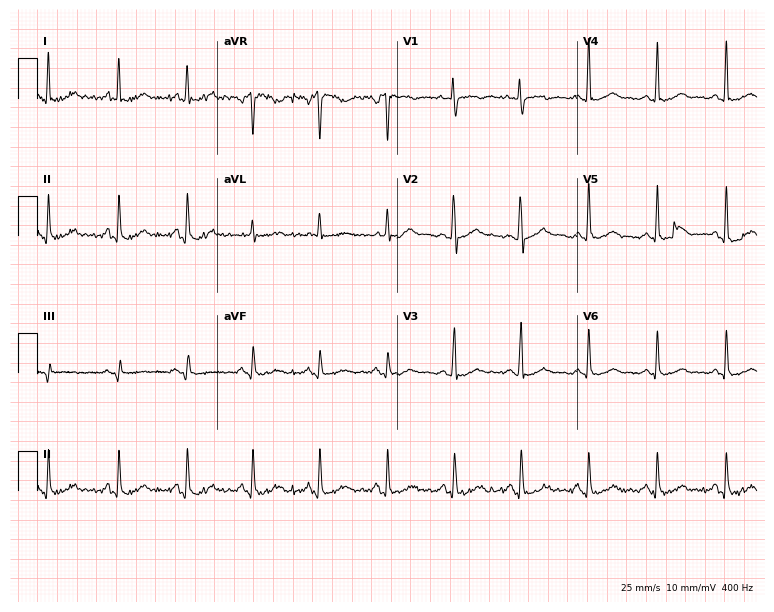
ECG (7.3-second recording at 400 Hz) — a 63-year-old woman. Screened for six findings — first-degree AV block, right bundle branch block, left bundle branch block, sinus bradycardia, atrial fibrillation, sinus tachycardia — none is recorded. Only these six findings were labelled.